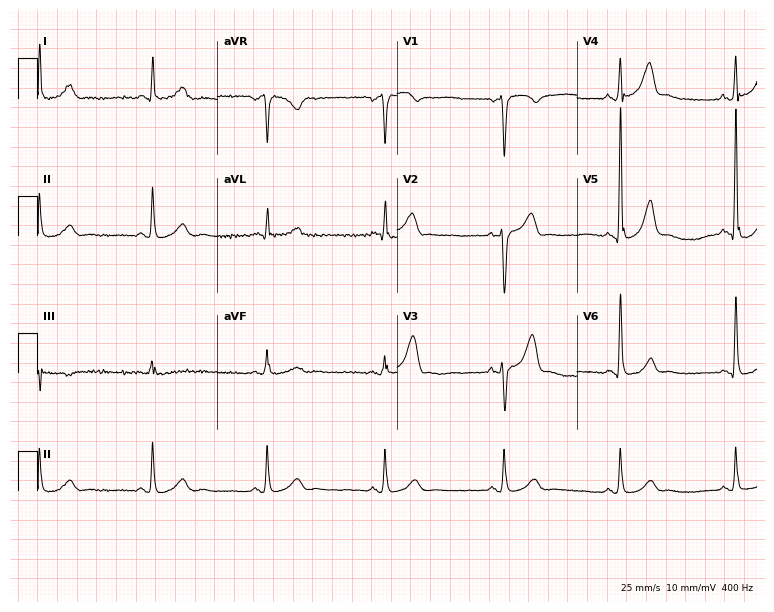
Electrocardiogram (7.3-second recording at 400 Hz), a 63-year-old male patient. Of the six screened findings (first-degree AV block, right bundle branch block (RBBB), left bundle branch block (LBBB), sinus bradycardia, atrial fibrillation (AF), sinus tachycardia), none is recorded. Other findings, if any, are not listed.